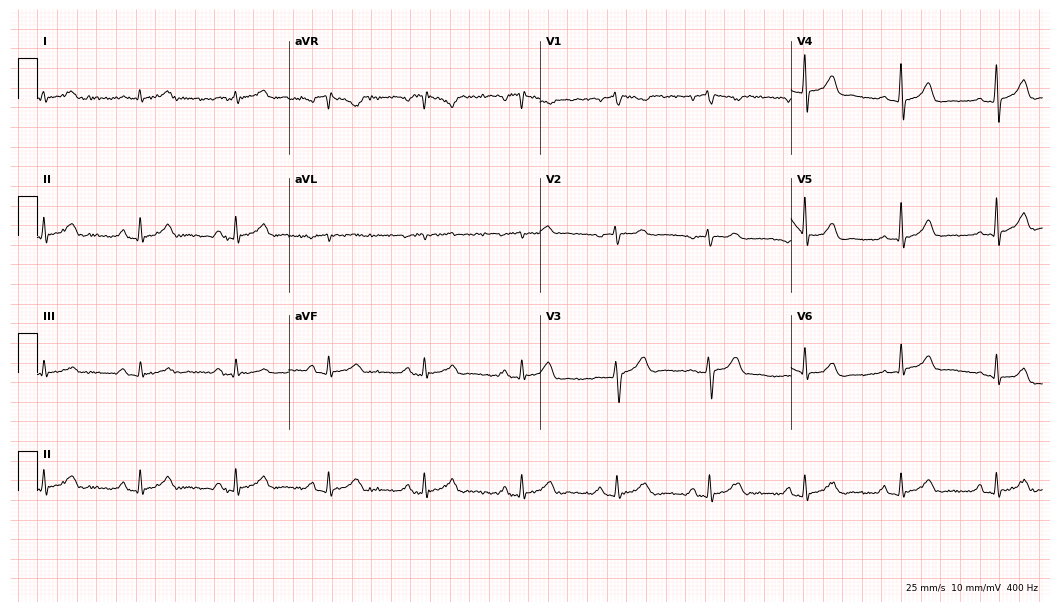
Resting 12-lead electrocardiogram. Patient: a 78-year-old female. Read as a normal ECG.